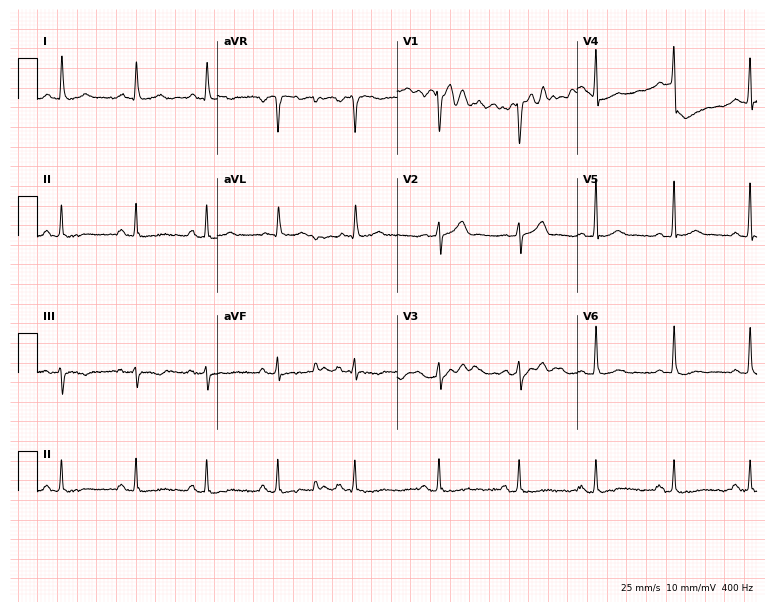
12-lead ECG (7.3-second recording at 400 Hz) from a 38-year-old male. Labelled as a normal ECG.